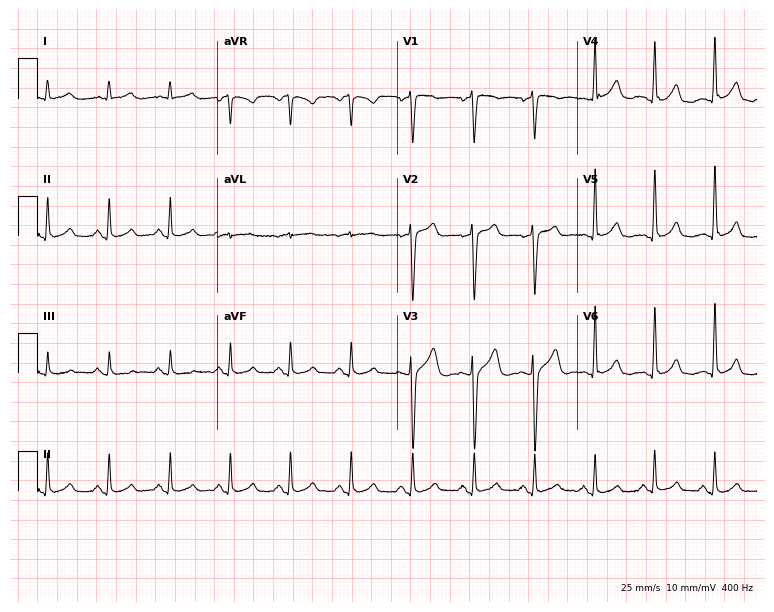
12-lead ECG from a 43-year-old man (7.3-second recording at 400 Hz). Recorded interpretation: within normal limits.